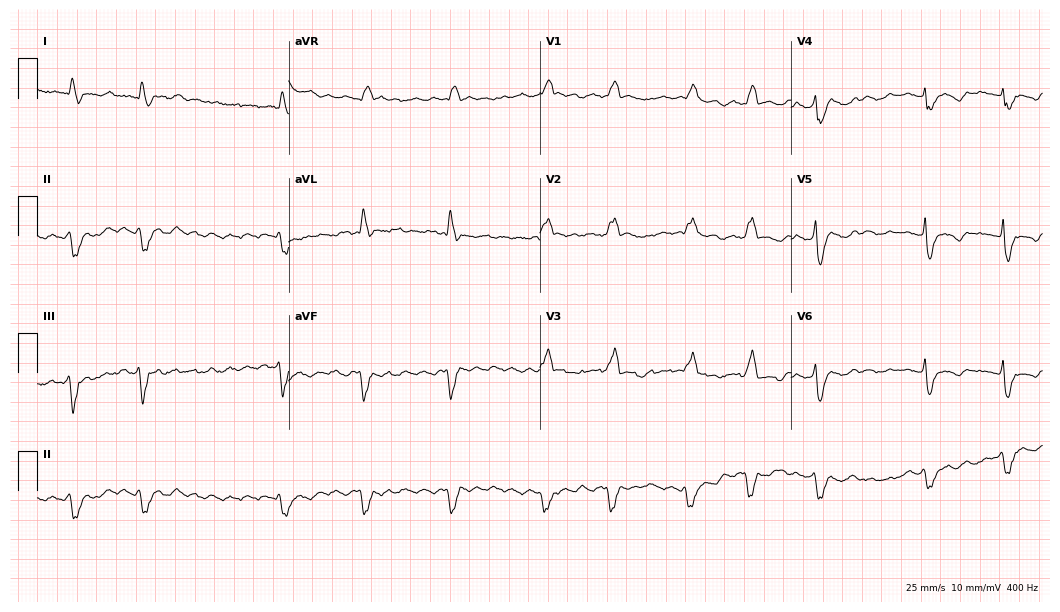
ECG (10.2-second recording at 400 Hz) — a 79-year-old female. Findings include atrial fibrillation.